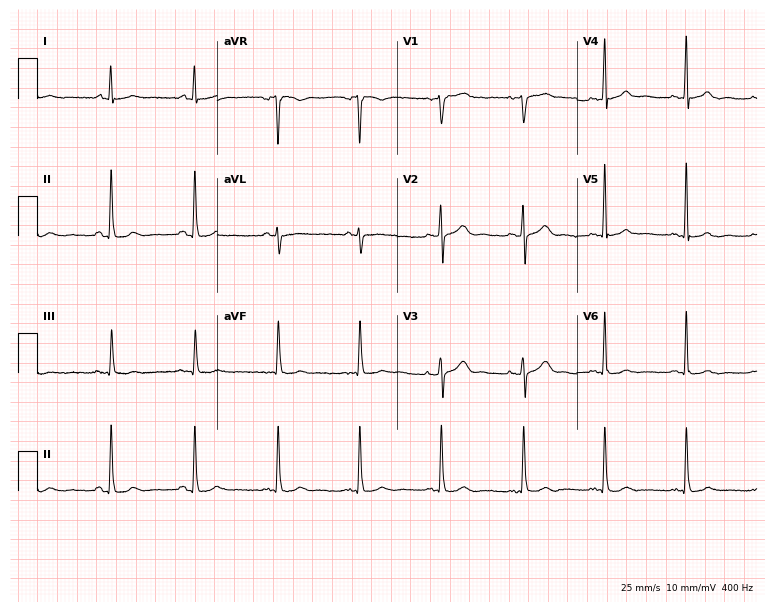
Resting 12-lead electrocardiogram. Patient: a 62-year-old female. None of these six findings is recorded: first-degree AV block, right bundle branch block, left bundle branch block, sinus bradycardia, atrial fibrillation, sinus tachycardia. Findings outside these six are not listed.